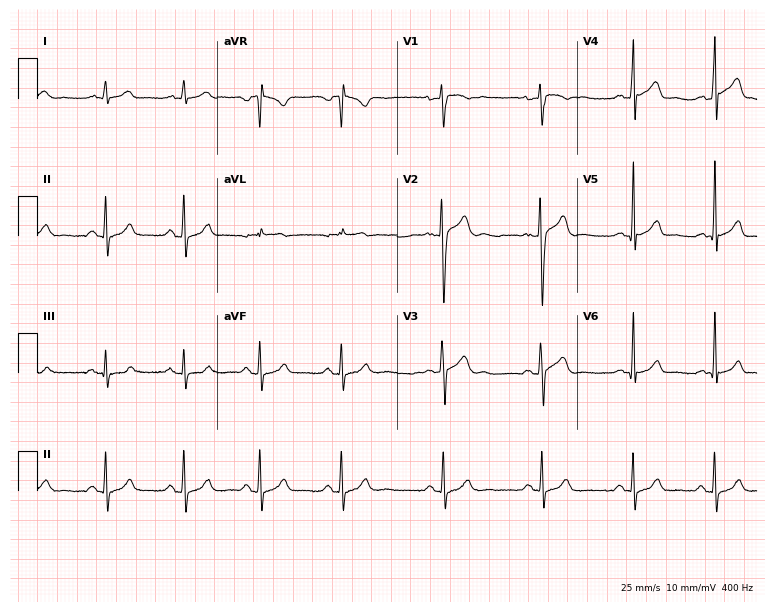
12-lead ECG from a male, 23 years old. Recorded interpretation: within normal limits.